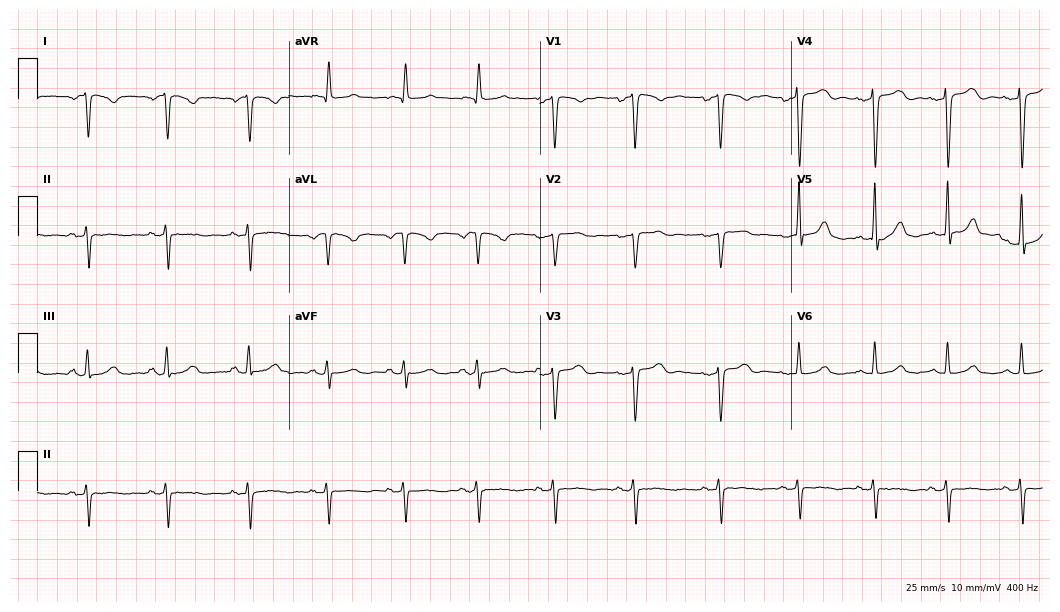
12-lead ECG from a 41-year-old woman. Screened for six findings — first-degree AV block, right bundle branch block, left bundle branch block, sinus bradycardia, atrial fibrillation, sinus tachycardia — none is recorded.